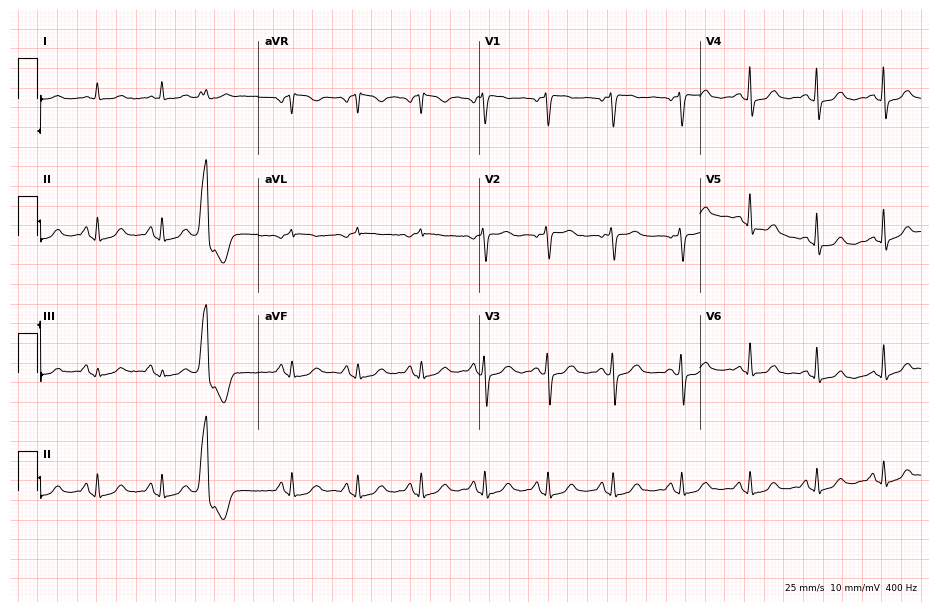
12-lead ECG (9-second recording at 400 Hz) from a 53-year-old female patient. Screened for six findings — first-degree AV block, right bundle branch block, left bundle branch block, sinus bradycardia, atrial fibrillation, sinus tachycardia — none is recorded. Other findings, if any, are not listed.